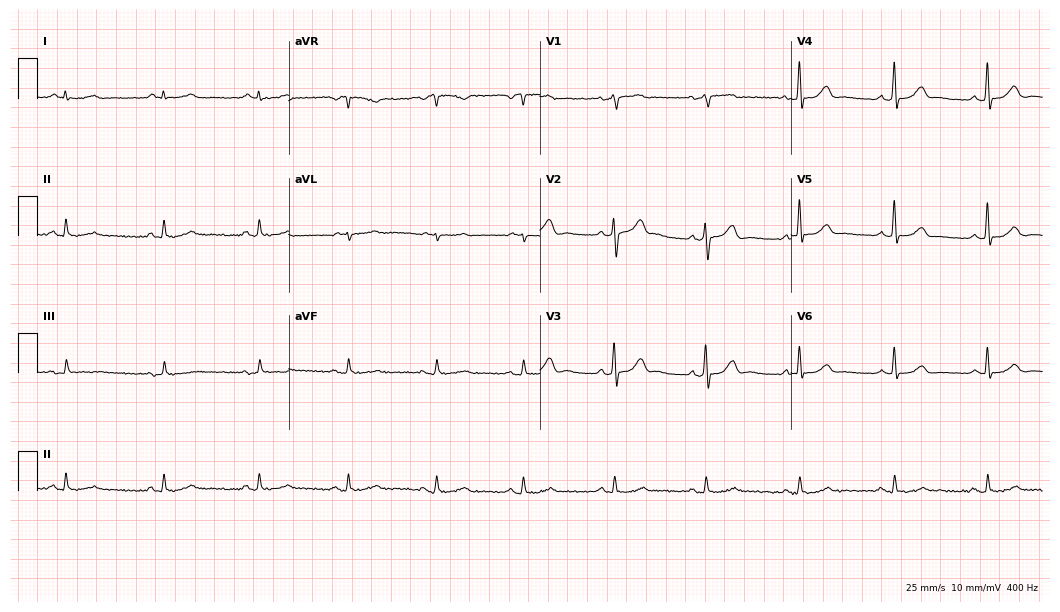
ECG (10.2-second recording at 400 Hz) — a male patient, 66 years old. Labelled as a normal ECG.